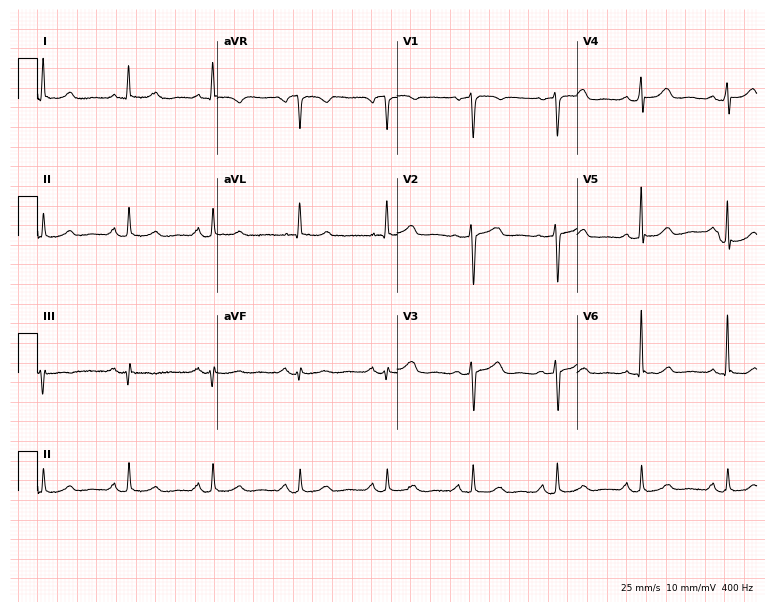
Resting 12-lead electrocardiogram. Patient: a woman, 47 years old. Read as a normal ECG.